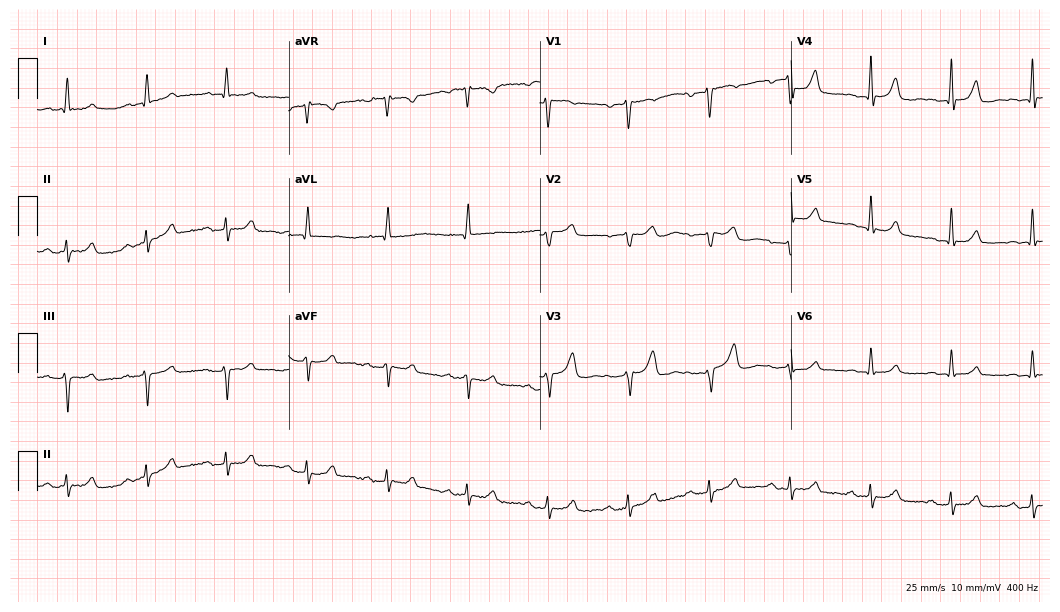
Standard 12-lead ECG recorded from a female, 66 years old. The tracing shows first-degree AV block.